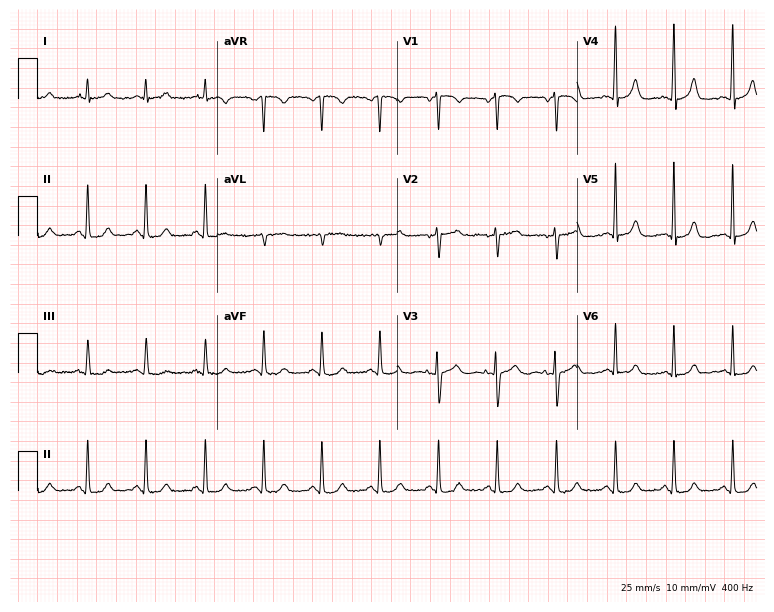
12-lead ECG from a female patient, 53 years old (7.3-second recording at 400 Hz). Recorded interpretation: within normal limits.